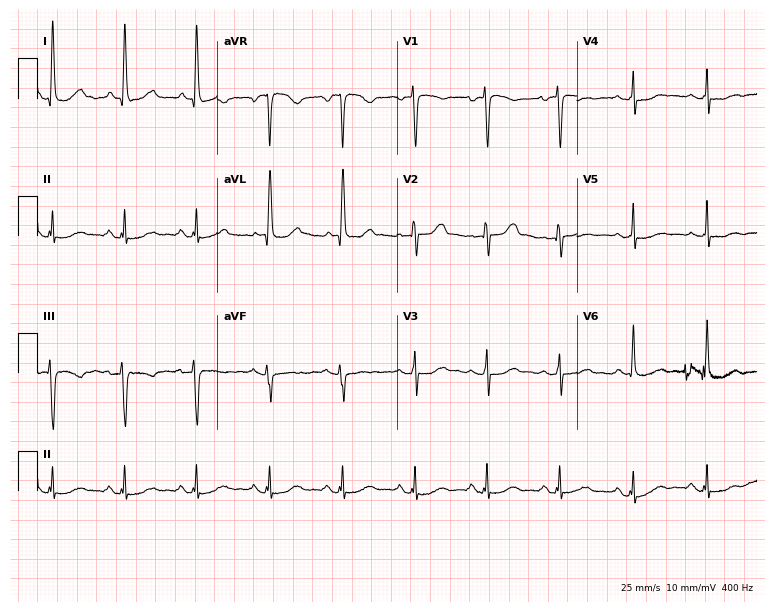
12-lead ECG from a woman, 69 years old. No first-degree AV block, right bundle branch block (RBBB), left bundle branch block (LBBB), sinus bradycardia, atrial fibrillation (AF) or sinus tachycardia recorded for this tracing.